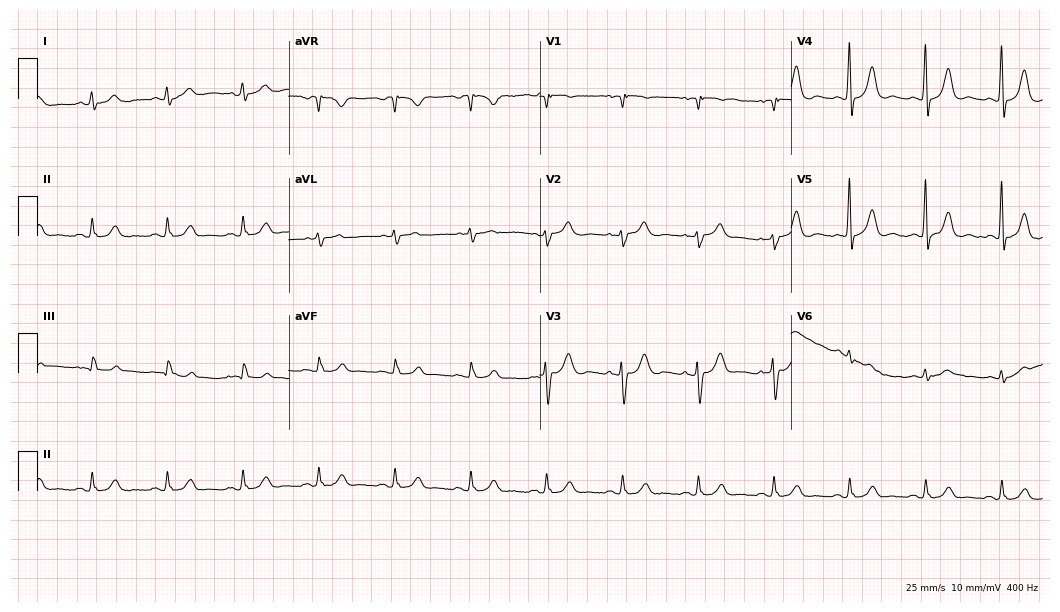
Resting 12-lead electrocardiogram. Patient: a woman, 54 years old. None of these six findings is recorded: first-degree AV block, right bundle branch block, left bundle branch block, sinus bradycardia, atrial fibrillation, sinus tachycardia. Only these six findings were labelled.